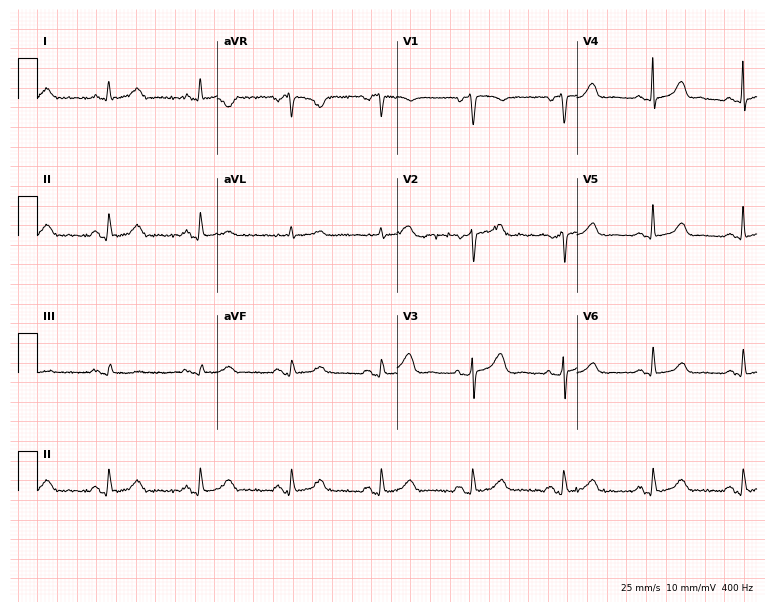
12-lead ECG from a 79-year-old female patient. Screened for six findings — first-degree AV block, right bundle branch block, left bundle branch block, sinus bradycardia, atrial fibrillation, sinus tachycardia — none is recorded.